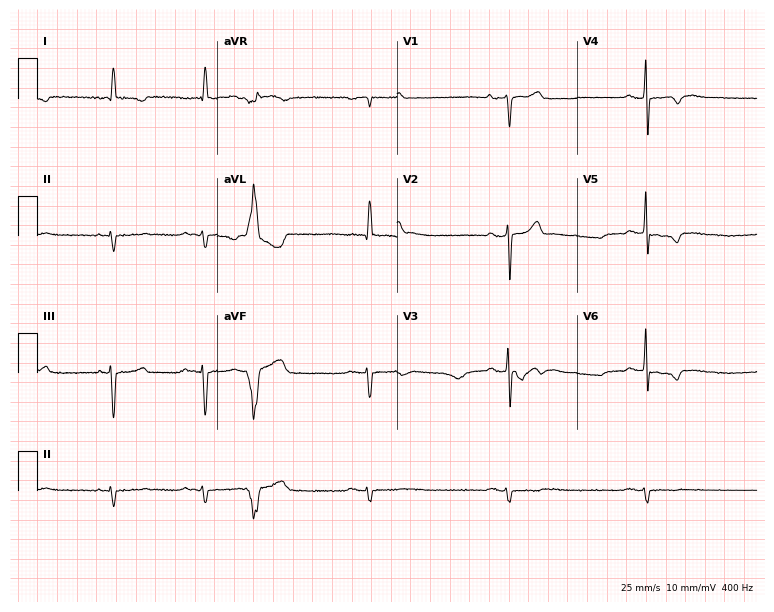
ECG — a 77-year-old male. Labelled as a normal ECG.